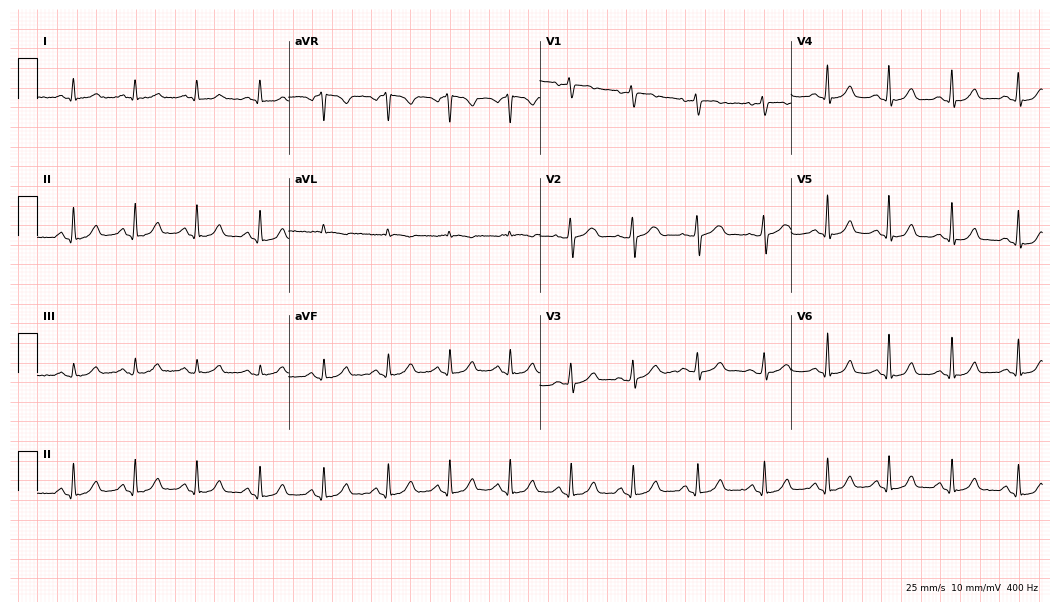
Resting 12-lead electrocardiogram. Patient: a female, 53 years old. Read as a normal ECG.